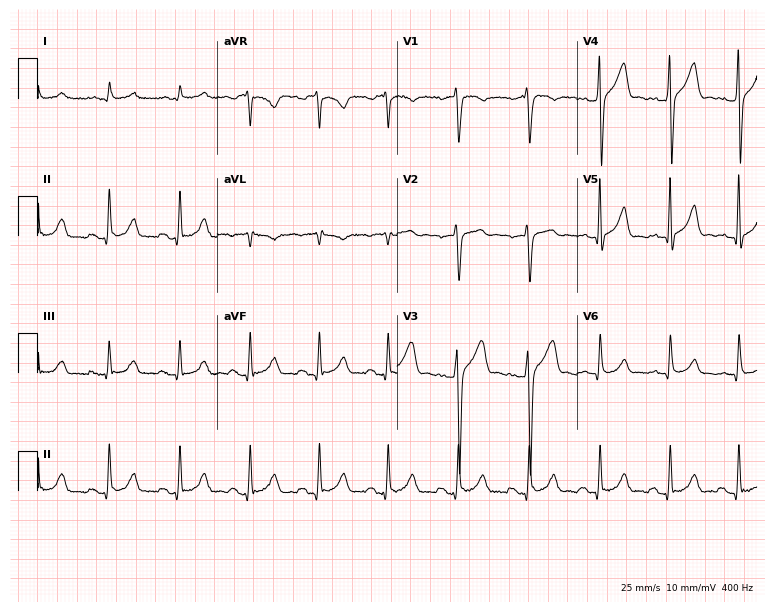
Electrocardiogram (7.3-second recording at 400 Hz), a male, 56 years old. Of the six screened findings (first-degree AV block, right bundle branch block (RBBB), left bundle branch block (LBBB), sinus bradycardia, atrial fibrillation (AF), sinus tachycardia), none is recorded. Findings outside these six are not listed.